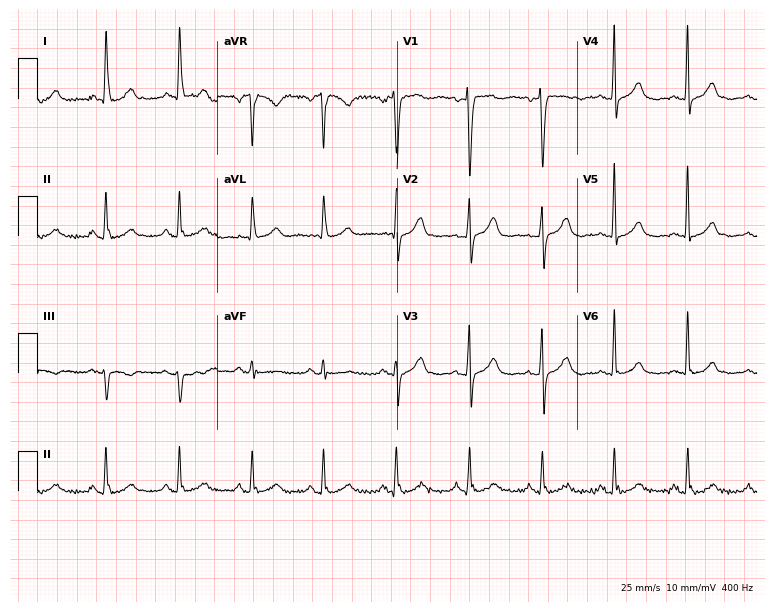
12-lead ECG from a female patient, 61 years old. Labelled as a normal ECG.